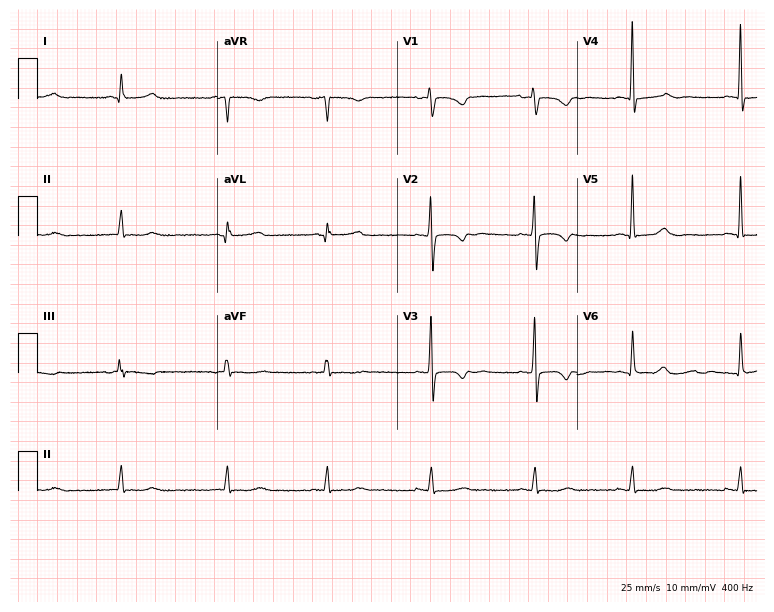
Electrocardiogram (7.3-second recording at 400 Hz), a female, 34 years old. Of the six screened findings (first-degree AV block, right bundle branch block, left bundle branch block, sinus bradycardia, atrial fibrillation, sinus tachycardia), none is recorded.